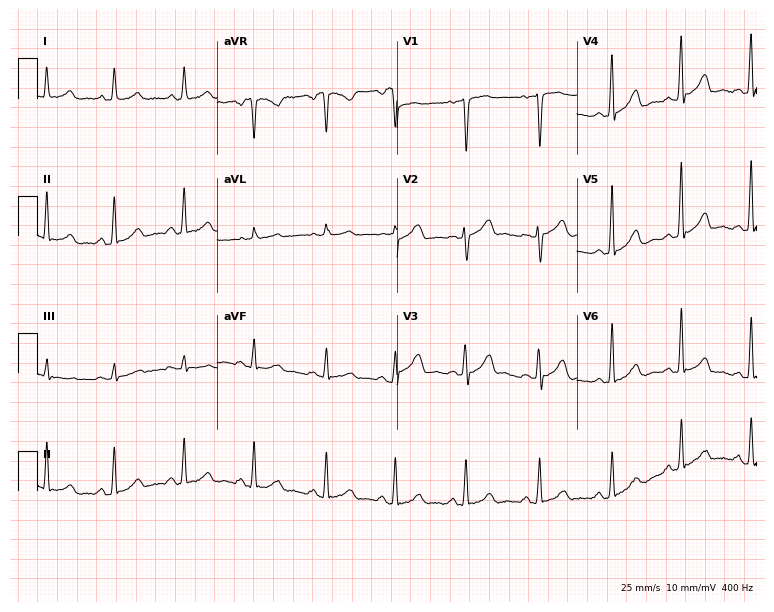
Resting 12-lead electrocardiogram. Patient: a female, 30 years old. None of these six findings is recorded: first-degree AV block, right bundle branch block, left bundle branch block, sinus bradycardia, atrial fibrillation, sinus tachycardia.